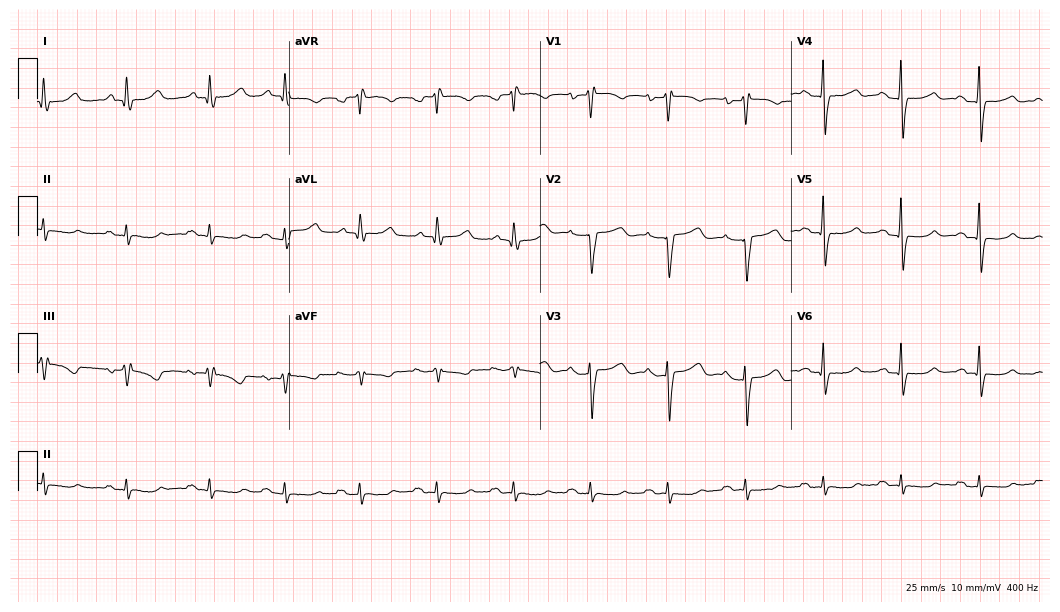
ECG (10.2-second recording at 400 Hz) — a male patient, 67 years old. Screened for six findings — first-degree AV block, right bundle branch block, left bundle branch block, sinus bradycardia, atrial fibrillation, sinus tachycardia — none is recorded. Other findings, if any, are not listed.